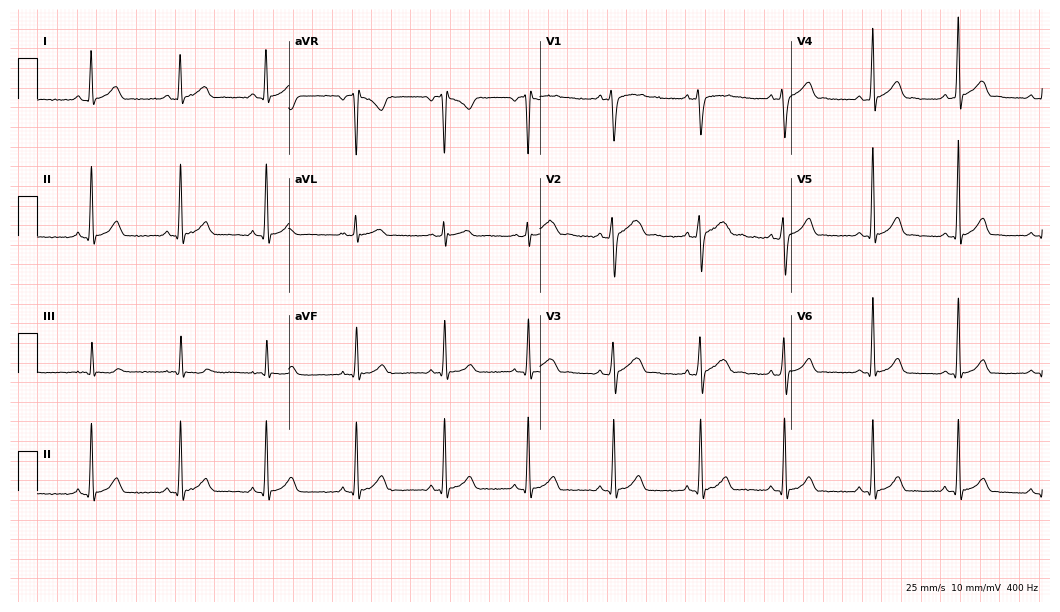
Standard 12-lead ECG recorded from a male patient, 25 years old. None of these six findings is recorded: first-degree AV block, right bundle branch block (RBBB), left bundle branch block (LBBB), sinus bradycardia, atrial fibrillation (AF), sinus tachycardia.